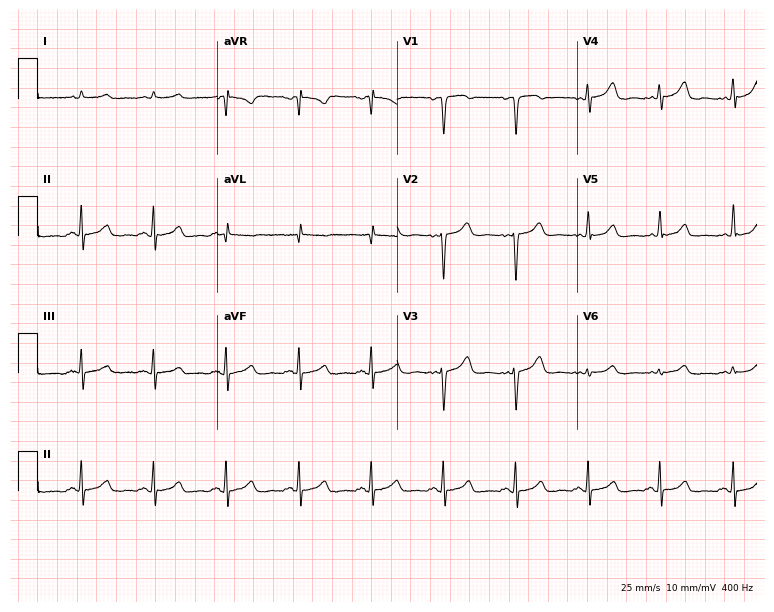
12-lead ECG from a 45-year-old female. Labelled as a normal ECG.